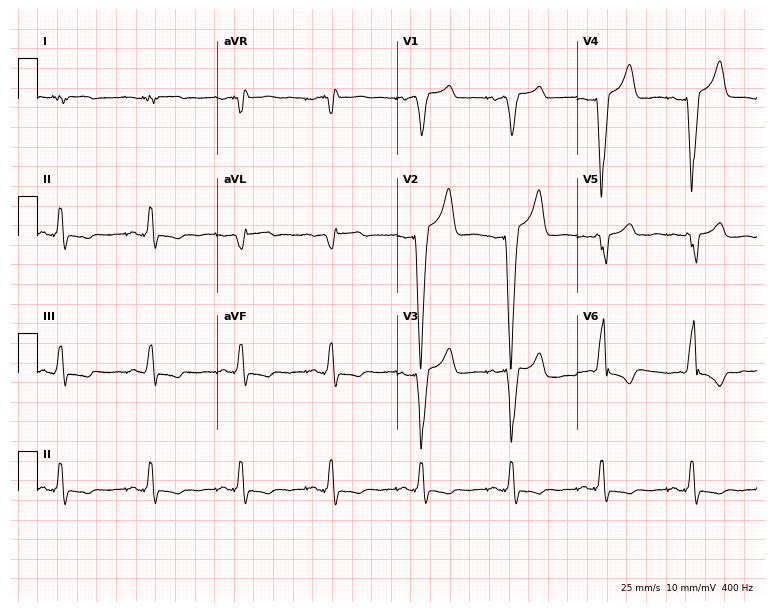
12-lead ECG from a female patient, 72 years old. No first-degree AV block, right bundle branch block, left bundle branch block, sinus bradycardia, atrial fibrillation or sinus tachycardia recorded for this tracing.